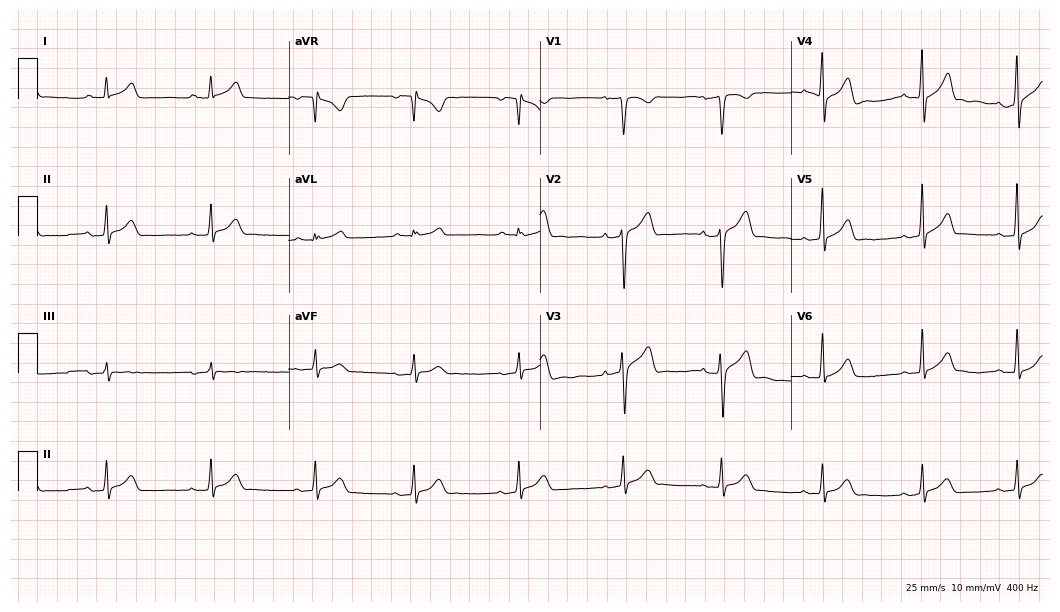
Electrocardiogram (10.2-second recording at 400 Hz), a male, 37 years old. Overall reading on record: normal ECG.